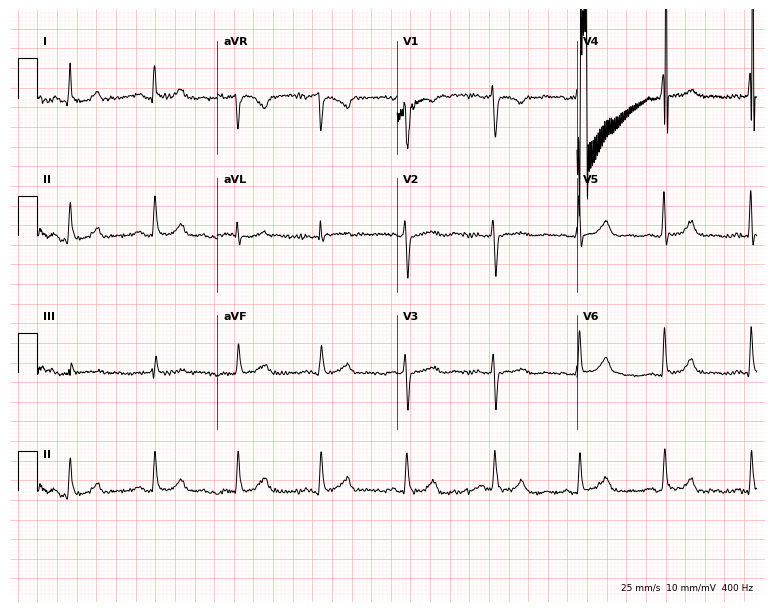
Resting 12-lead electrocardiogram (7.3-second recording at 400 Hz). Patient: a 52-year-old female. None of these six findings is recorded: first-degree AV block, right bundle branch block, left bundle branch block, sinus bradycardia, atrial fibrillation, sinus tachycardia.